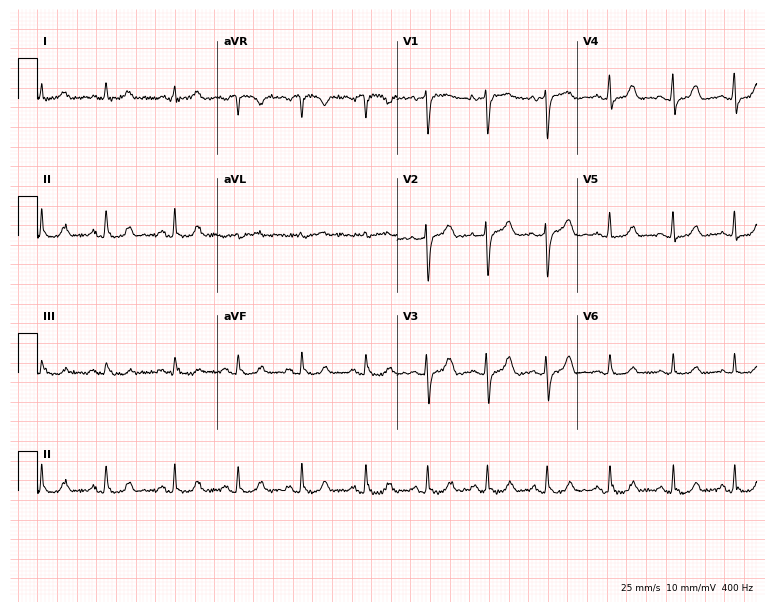
12-lead ECG from a woman, 74 years old. No first-degree AV block, right bundle branch block, left bundle branch block, sinus bradycardia, atrial fibrillation or sinus tachycardia recorded for this tracing.